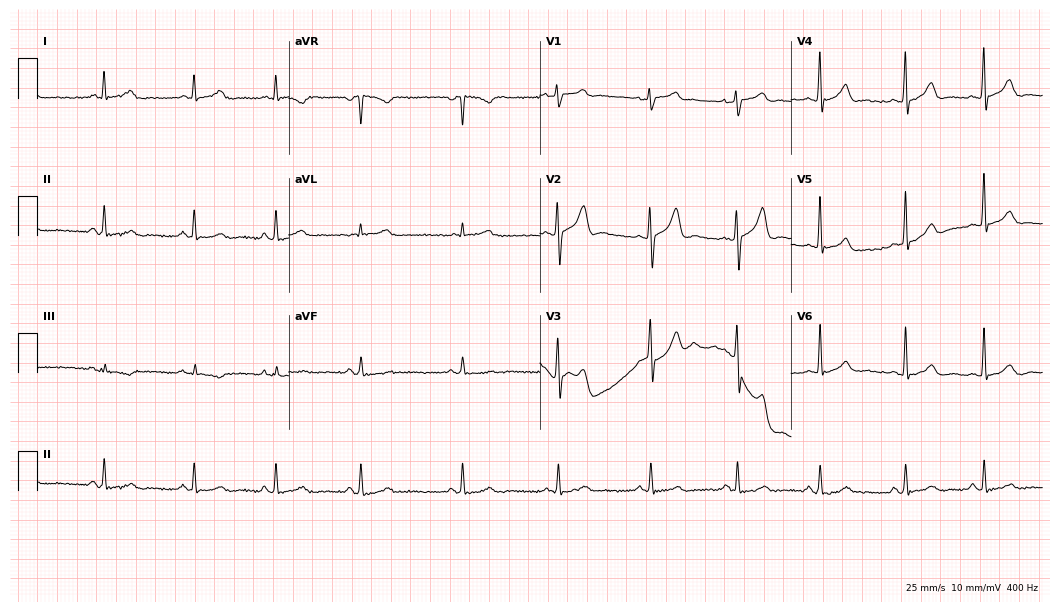
12-lead ECG from a 42-year-old male patient. Labelled as a normal ECG.